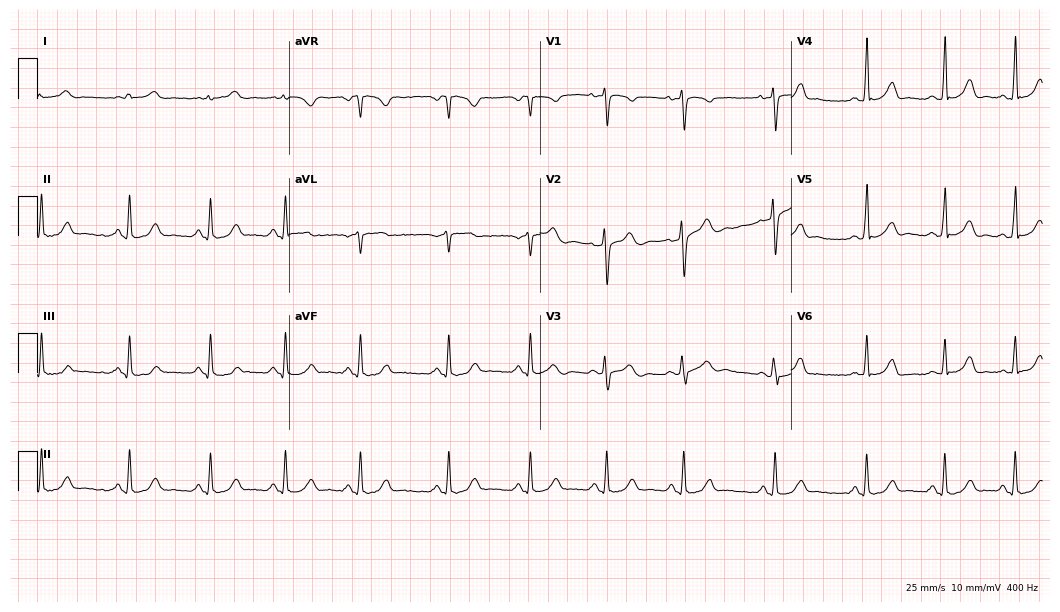
Standard 12-lead ECG recorded from a 24-year-old female patient (10.2-second recording at 400 Hz). Read as a normal ECG.